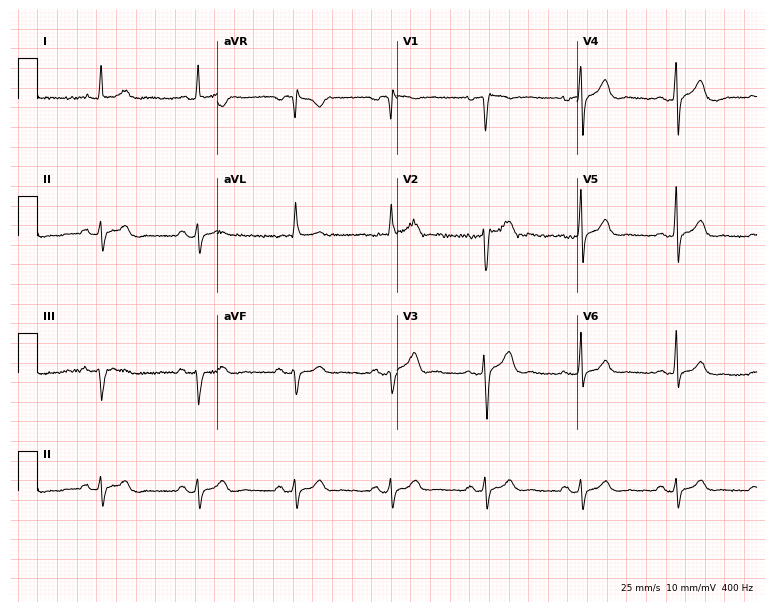
Standard 12-lead ECG recorded from a man, 60 years old (7.3-second recording at 400 Hz). Read as a normal ECG.